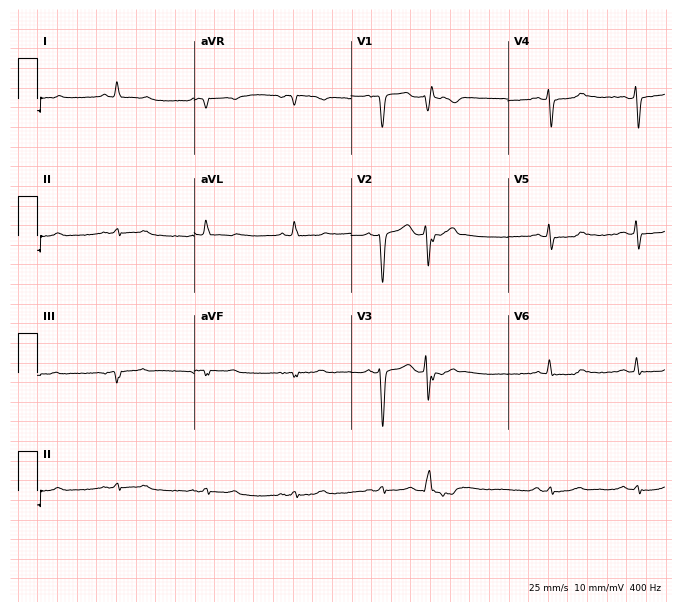
12-lead ECG (6.4-second recording at 400 Hz) from a 71-year-old male. Screened for six findings — first-degree AV block, right bundle branch block, left bundle branch block, sinus bradycardia, atrial fibrillation, sinus tachycardia — none is recorded.